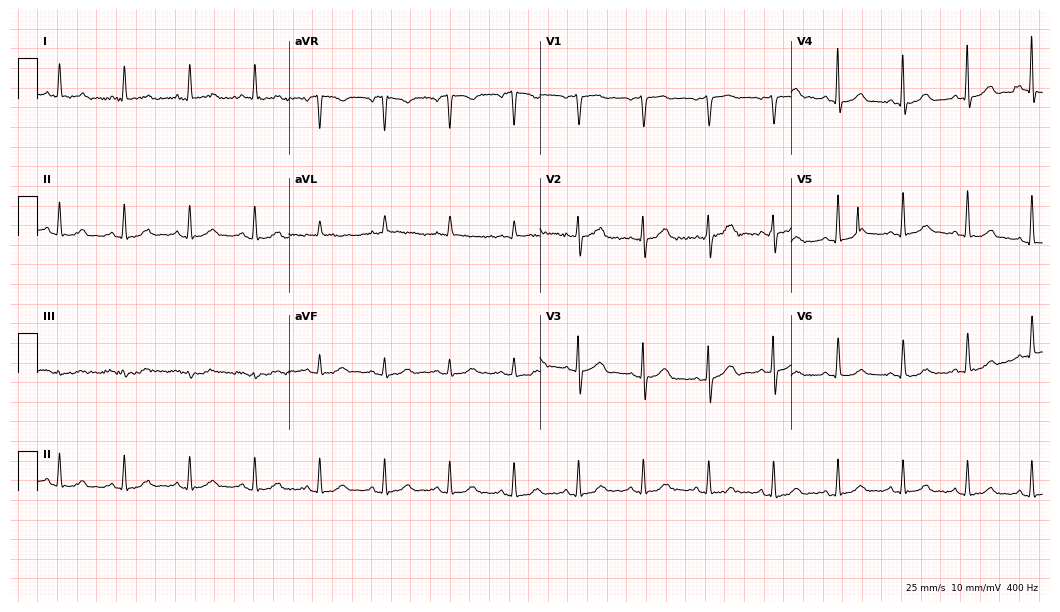
Resting 12-lead electrocardiogram (10.2-second recording at 400 Hz). Patient: a 67-year-old man. Read as a normal ECG.